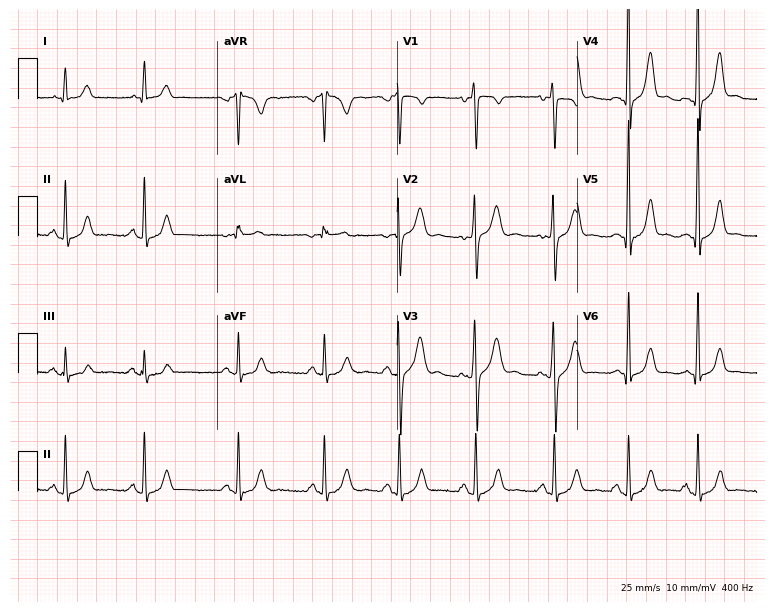
ECG (7.3-second recording at 400 Hz) — a male patient, 24 years old. Screened for six findings — first-degree AV block, right bundle branch block, left bundle branch block, sinus bradycardia, atrial fibrillation, sinus tachycardia — none is recorded.